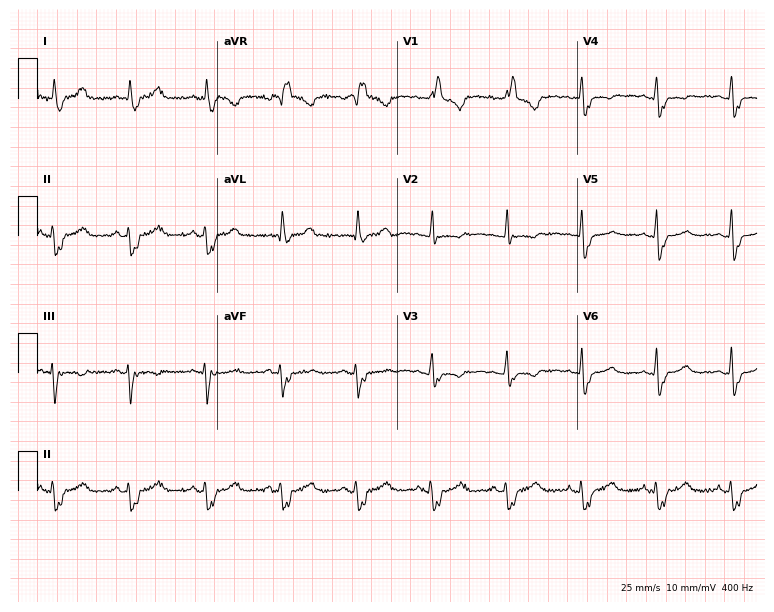
ECG — a 45-year-old female. Findings include right bundle branch block.